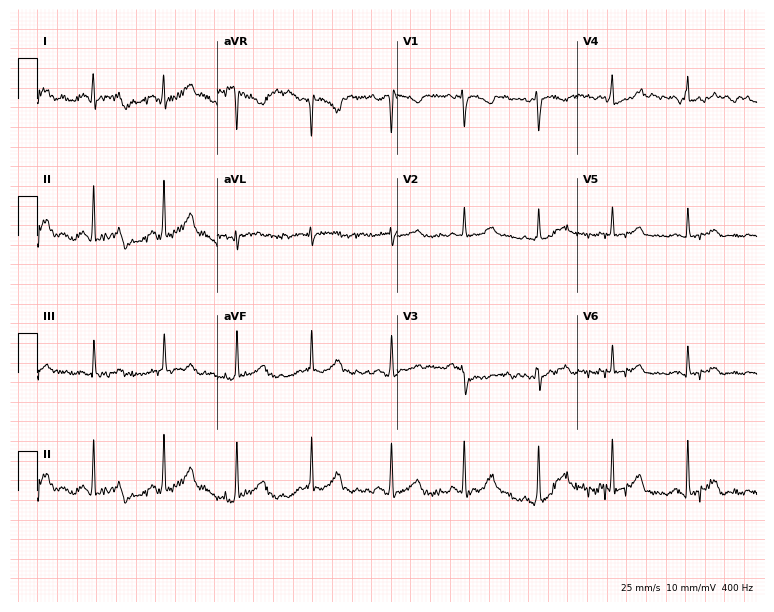
Standard 12-lead ECG recorded from a 32-year-old woman. None of these six findings is recorded: first-degree AV block, right bundle branch block, left bundle branch block, sinus bradycardia, atrial fibrillation, sinus tachycardia. Findings outside these six are not listed.